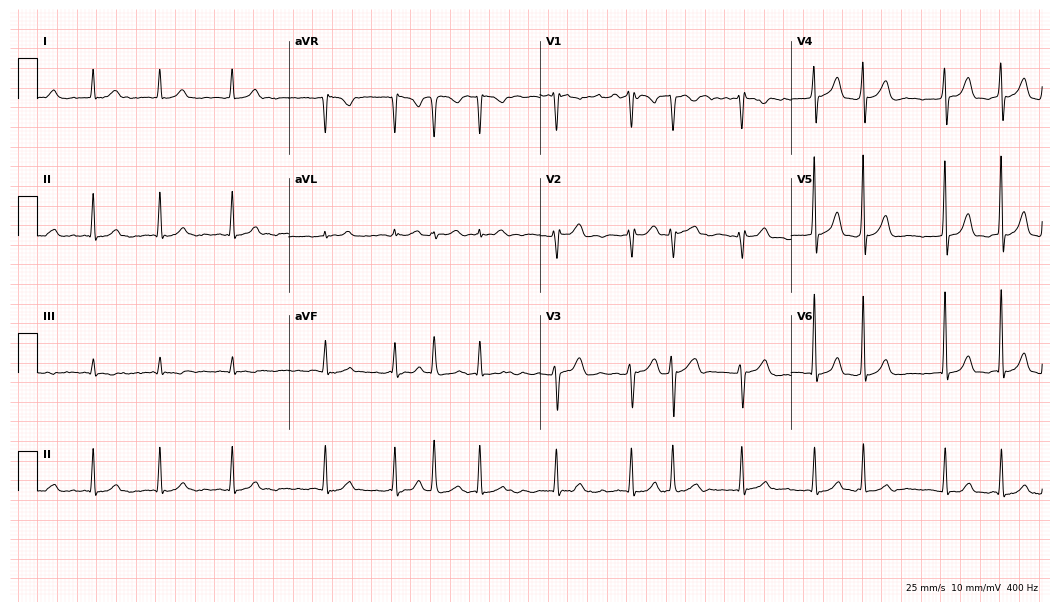
ECG — a 76-year-old female. Findings include atrial fibrillation.